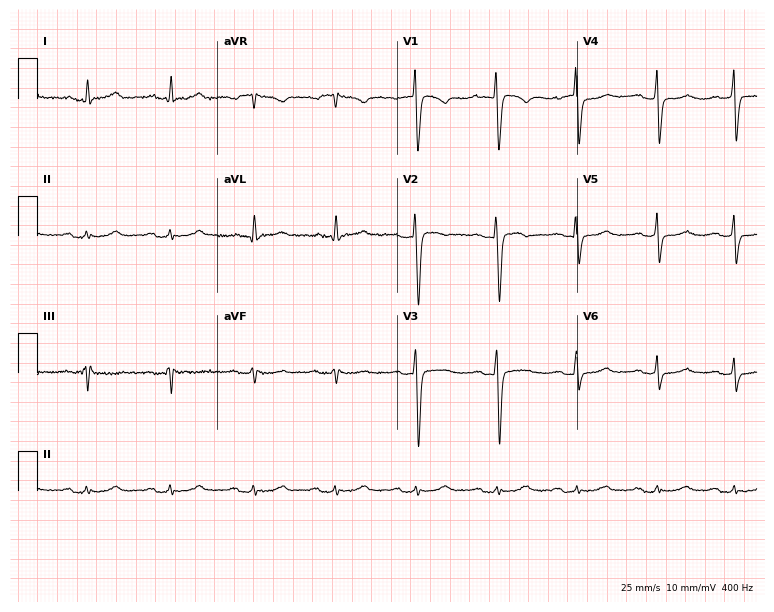
ECG (7.3-second recording at 400 Hz) — a 55-year-old female. Findings include first-degree AV block.